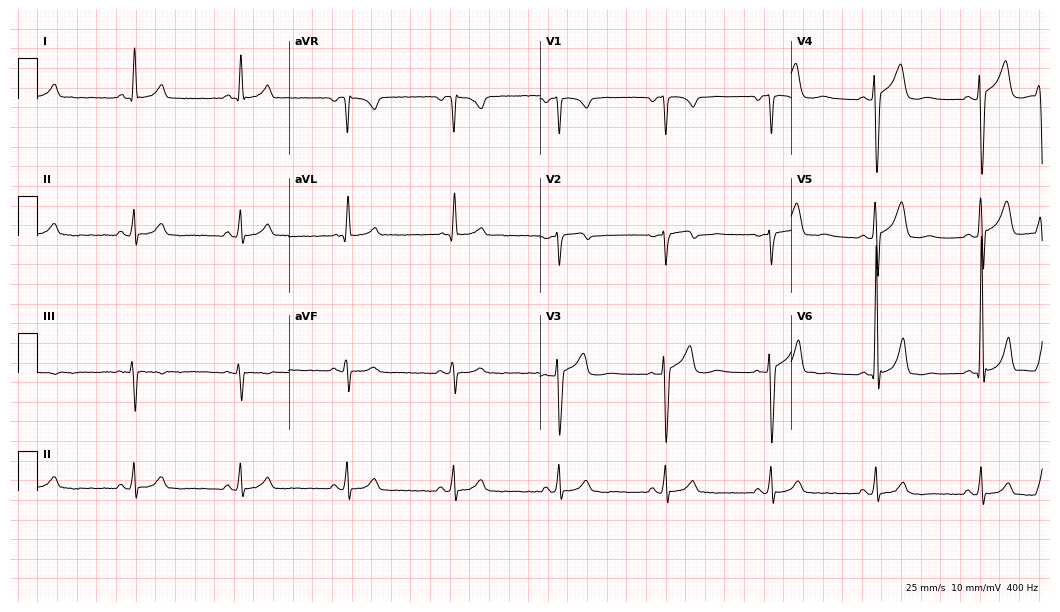
ECG — a female patient, 49 years old. Screened for six findings — first-degree AV block, right bundle branch block, left bundle branch block, sinus bradycardia, atrial fibrillation, sinus tachycardia — none is recorded. Findings outside these six are not listed.